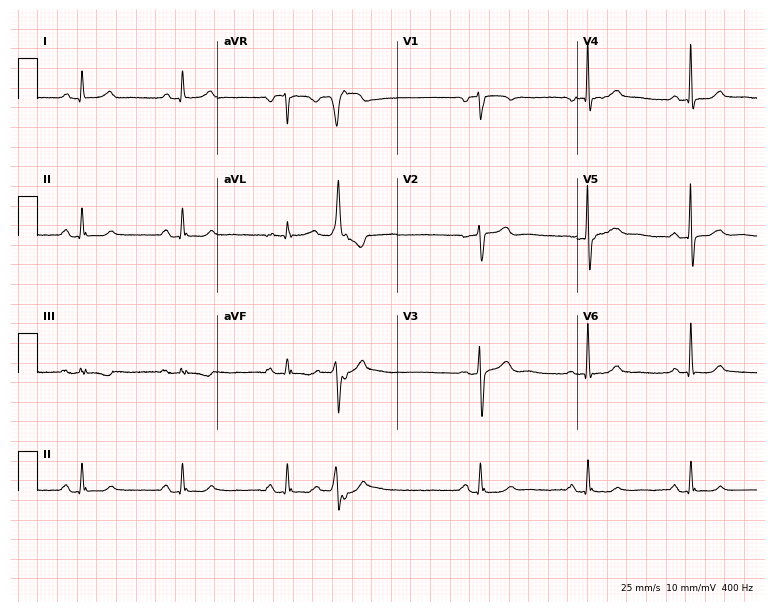
12-lead ECG from a man, 73 years old. No first-degree AV block, right bundle branch block, left bundle branch block, sinus bradycardia, atrial fibrillation or sinus tachycardia recorded for this tracing. Findings outside these six are not listed.